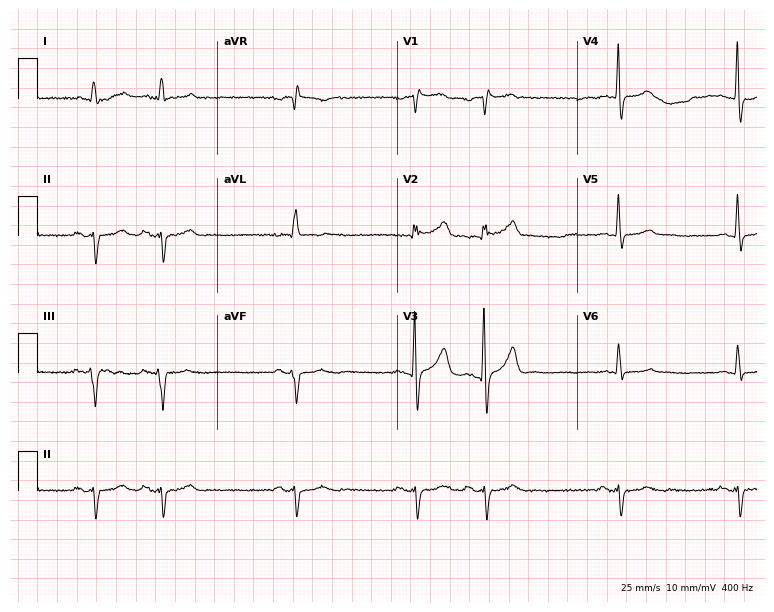
12-lead ECG from an 80-year-old male patient (7.3-second recording at 400 Hz). Recorded interpretation: within normal limits.